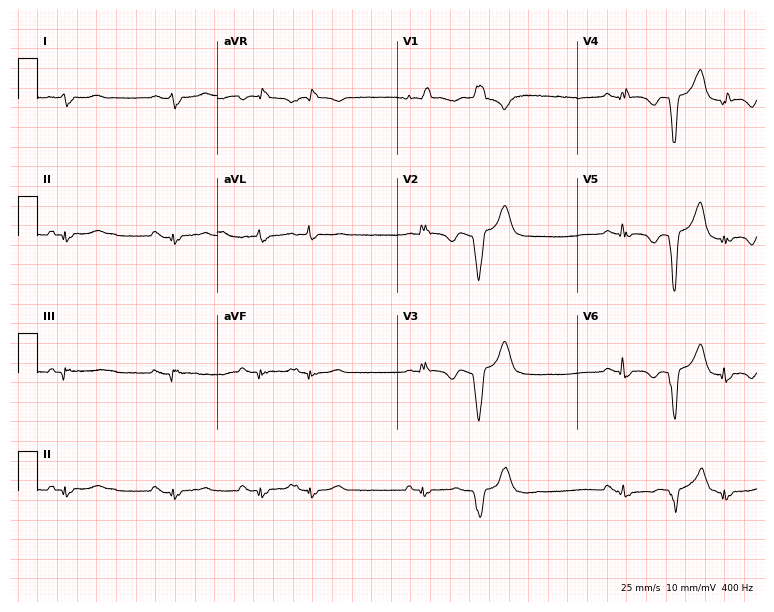
Resting 12-lead electrocardiogram. Patient: a 43-year-old woman. None of these six findings is recorded: first-degree AV block, right bundle branch block, left bundle branch block, sinus bradycardia, atrial fibrillation, sinus tachycardia. Other findings, if any, are not listed.